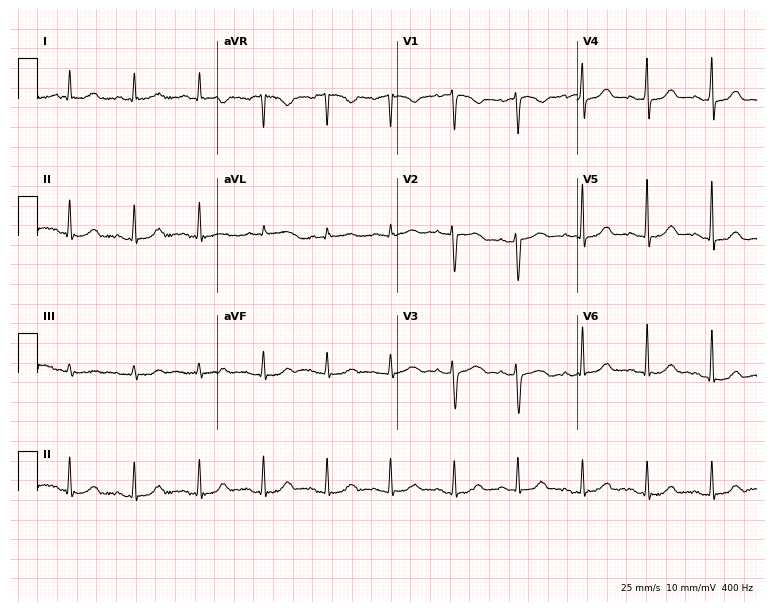
Standard 12-lead ECG recorded from a 45-year-old female patient (7.3-second recording at 400 Hz). Read as a normal ECG.